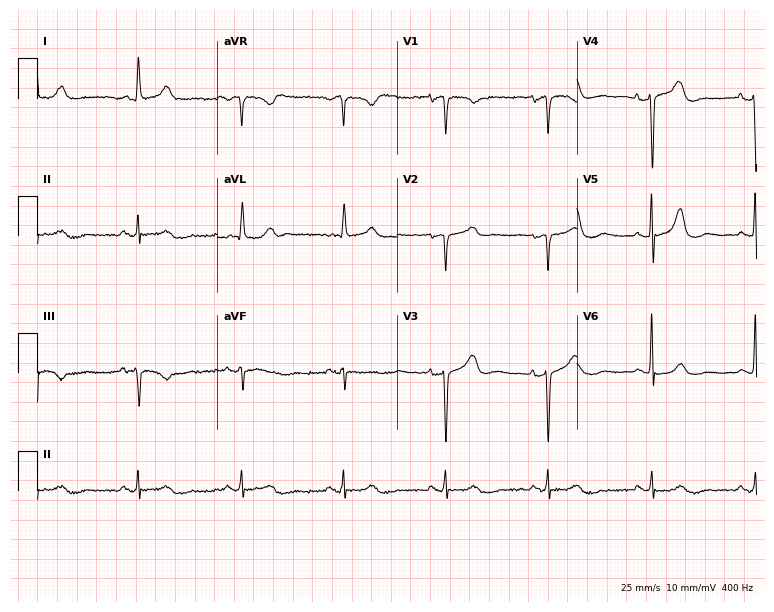
12-lead ECG from an 86-year-old female patient (7.3-second recording at 400 Hz). Recorded interpretation: within normal limits.